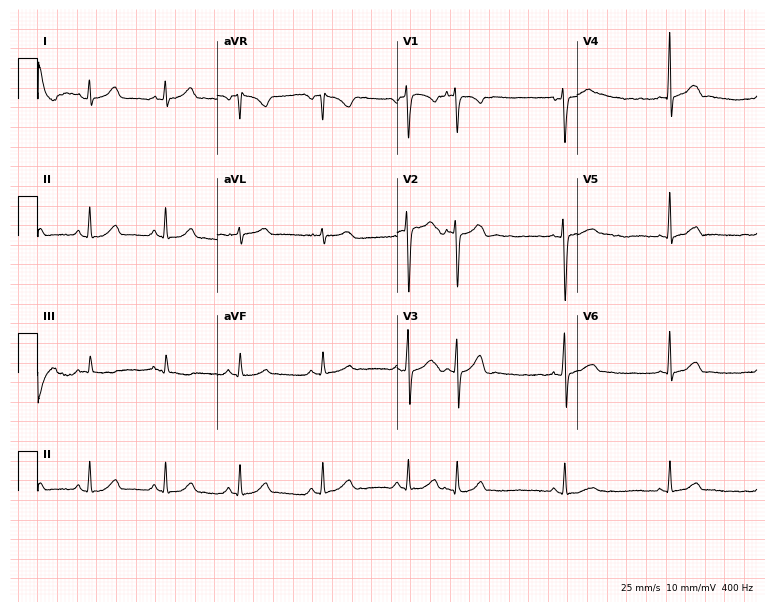
12-lead ECG from a female patient, 23 years old. Recorded interpretation: within normal limits.